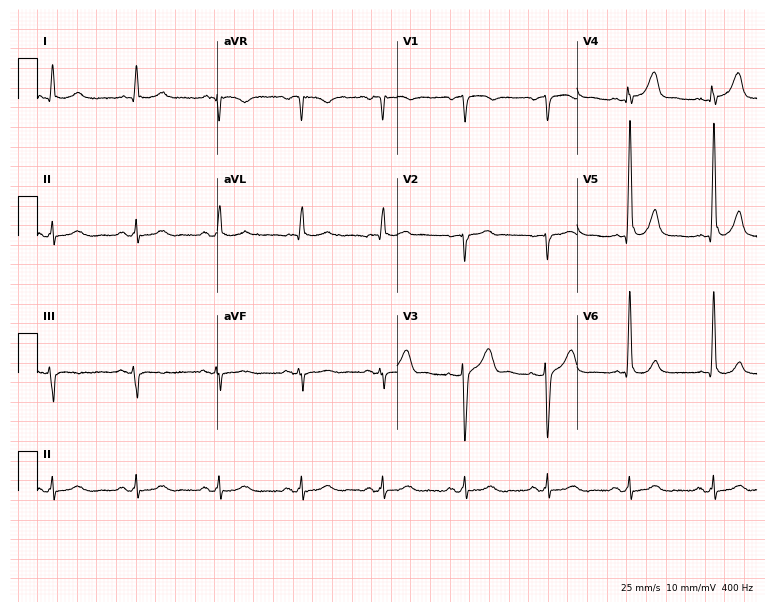
Resting 12-lead electrocardiogram. Patient: an 83-year-old male. None of these six findings is recorded: first-degree AV block, right bundle branch block, left bundle branch block, sinus bradycardia, atrial fibrillation, sinus tachycardia.